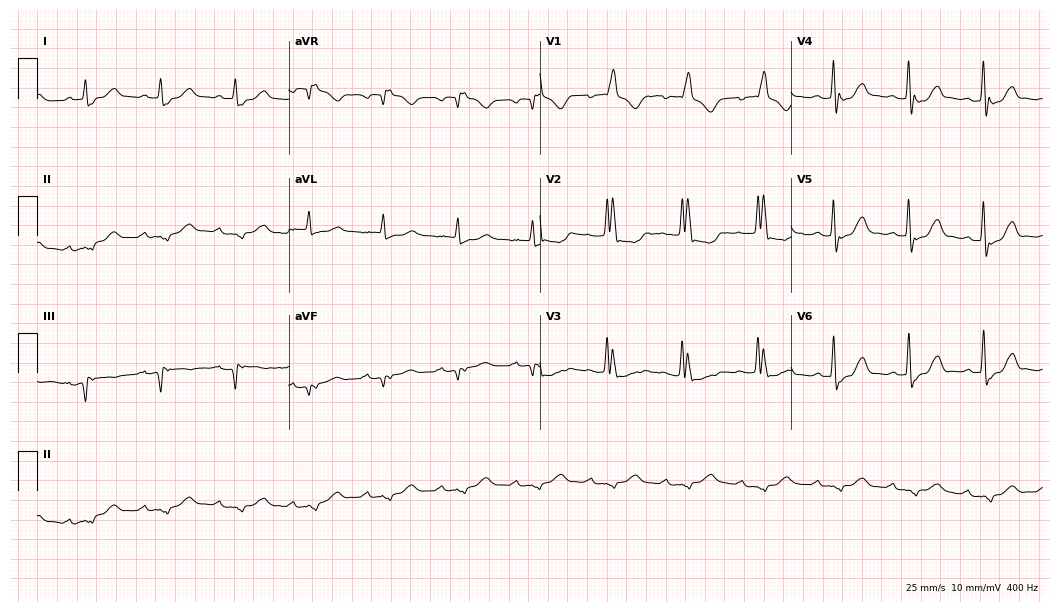
Resting 12-lead electrocardiogram (10.2-second recording at 400 Hz). Patient: a 69-year-old woman. The tracing shows right bundle branch block.